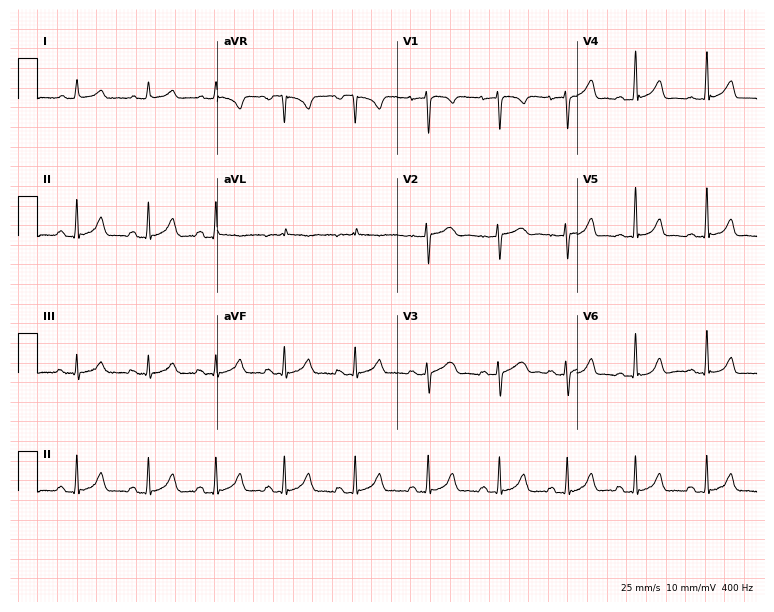
ECG (7.3-second recording at 400 Hz) — a 30-year-old woman. Screened for six findings — first-degree AV block, right bundle branch block (RBBB), left bundle branch block (LBBB), sinus bradycardia, atrial fibrillation (AF), sinus tachycardia — none is recorded. Only these six findings were labelled.